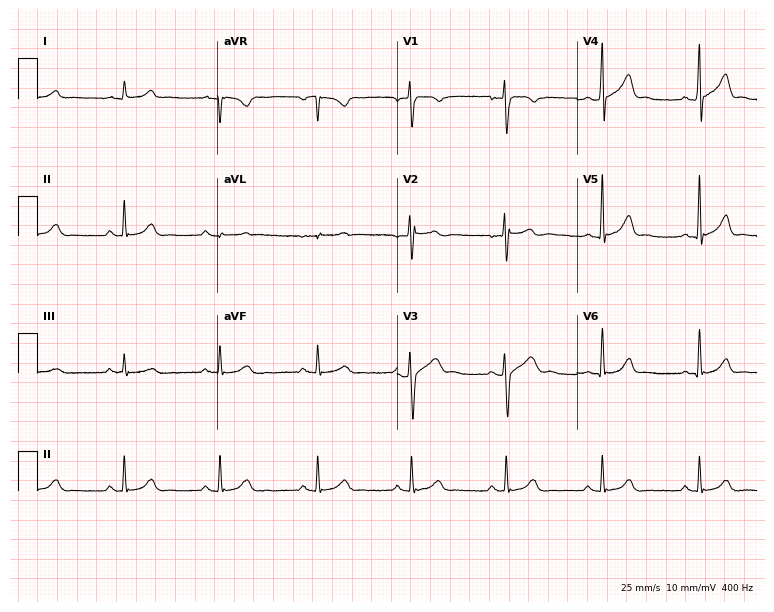
Electrocardiogram (7.3-second recording at 400 Hz), a male, 24 years old. Overall reading on record: normal ECG.